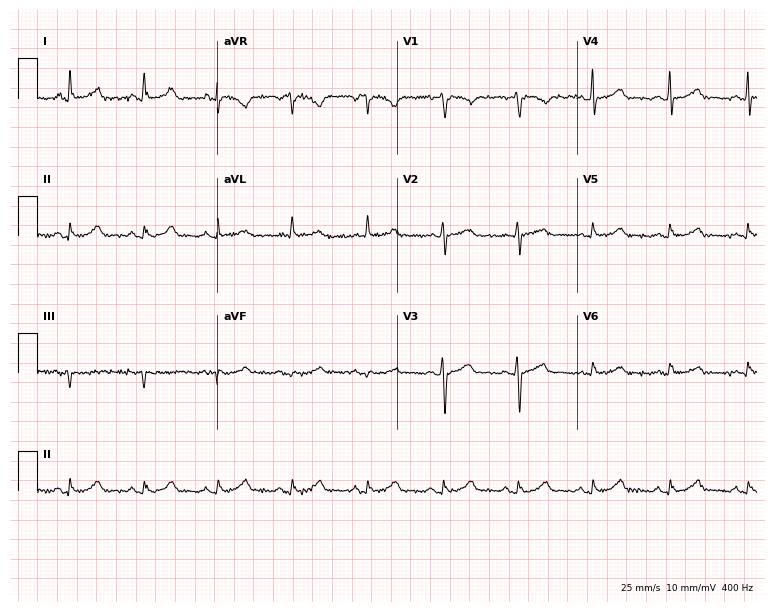
12-lead ECG (7.3-second recording at 400 Hz) from a female patient, 63 years old. Screened for six findings — first-degree AV block, right bundle branch block, left bundle branch block, sinus bradycardia, atrial fibrillation, sinus tachycardia — none is recorded. Other findings, if any, are not listed.